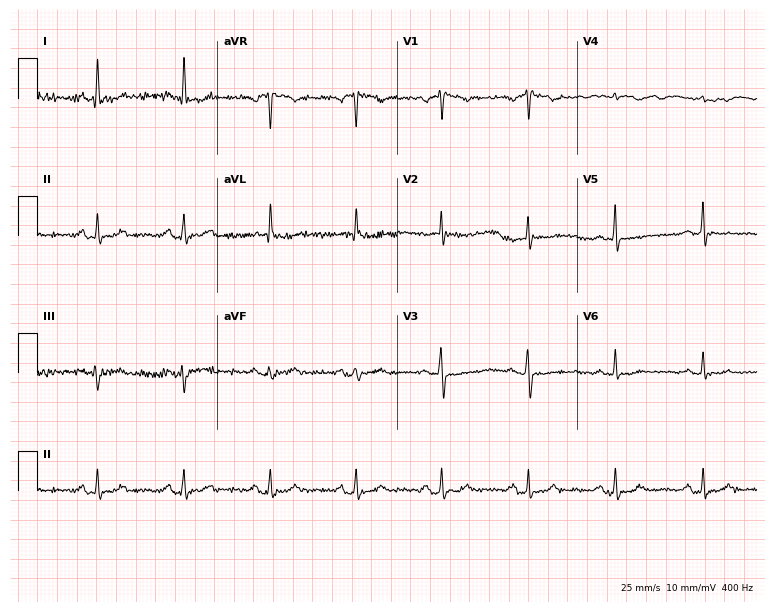
ECG (7.3-second recording at 400 Hz) — a female patient, 62 years old. Screened for six findings — first-degree AV block, right bundle branch block, left bundle branch block, sinus bradycardia, atrial fibrillation, sinus tachycardia — none is recorded. Other findings, if any, are not listed.